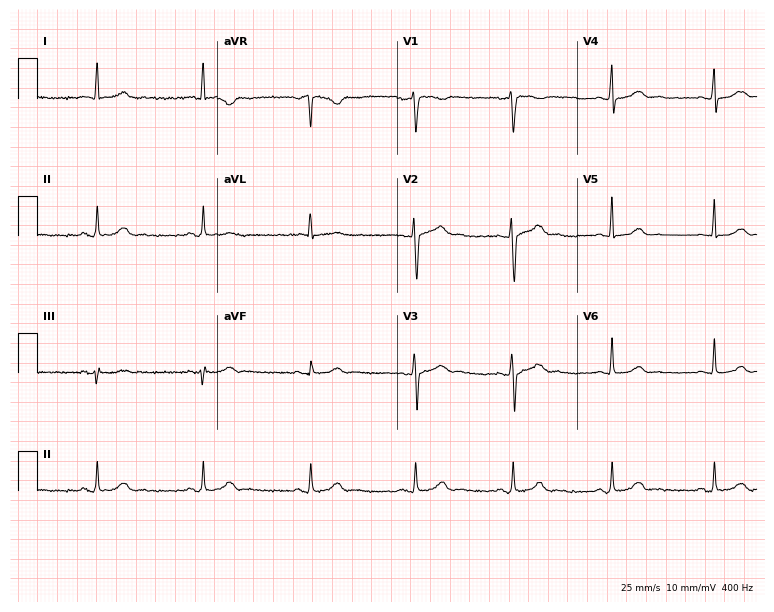
12-lead ECG (7.3-second recording at 400 Hz) from a 36-year-old man. Screened for six findings — first-degree AV block, right bundle branch block, left bundle branch block, sinus bradycardia, atrial fibrillation, sinus tachycardia — none is recorded.